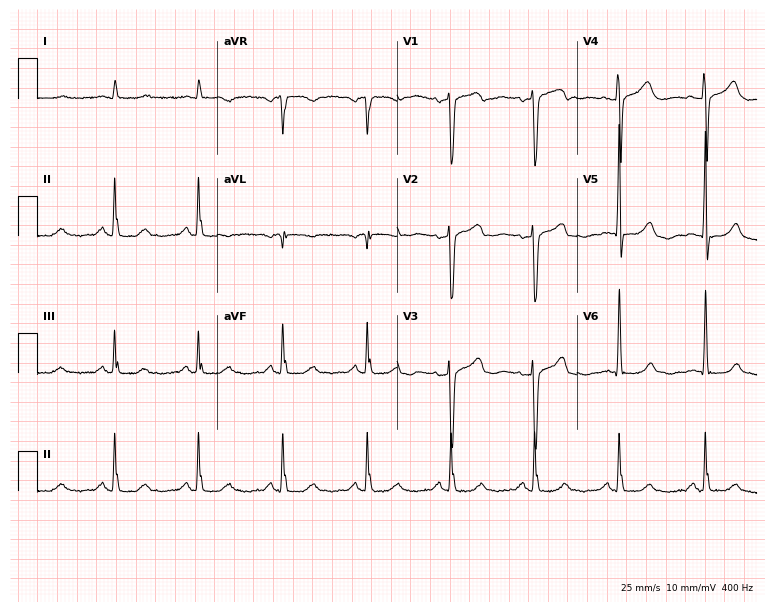
Resting 12-lead electrocardiogram. Patient: an 83-year-old male. None of these six findings is recorded: first-degree AV block, right bundle branch block, left bundle branch block, sinus bradycardia, atrial fibrillation, sinus tachycardia.